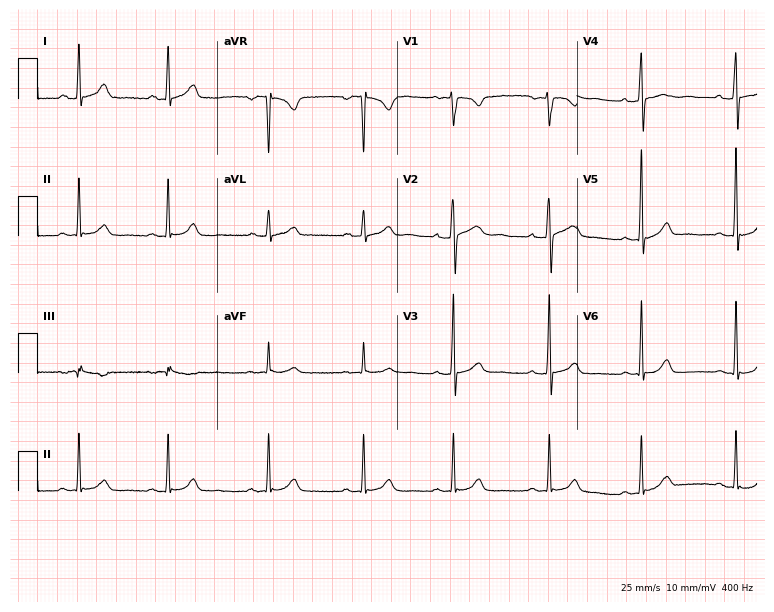
Resting 12-lead electrocardiogram. Patient: an 18-year-old woman. Read as a normal ECG.